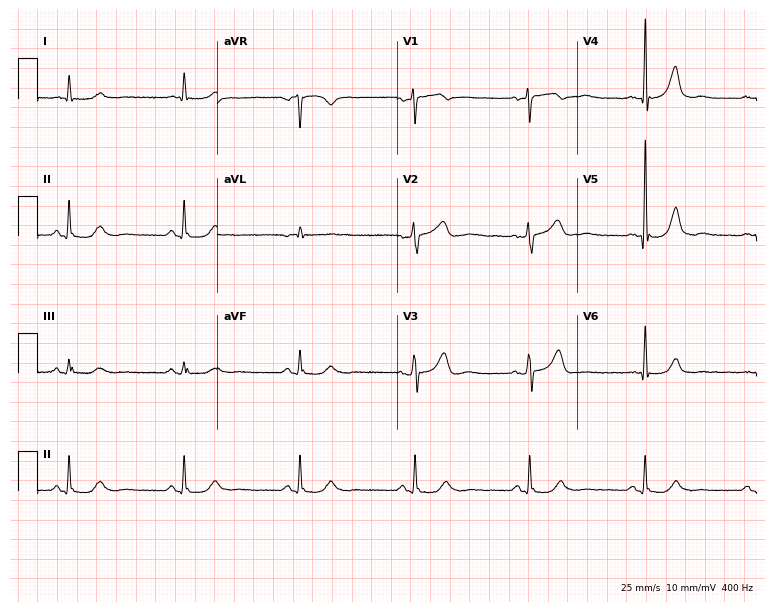
ECG — a 69-year-old male patient. Labelled as a normal ECG.